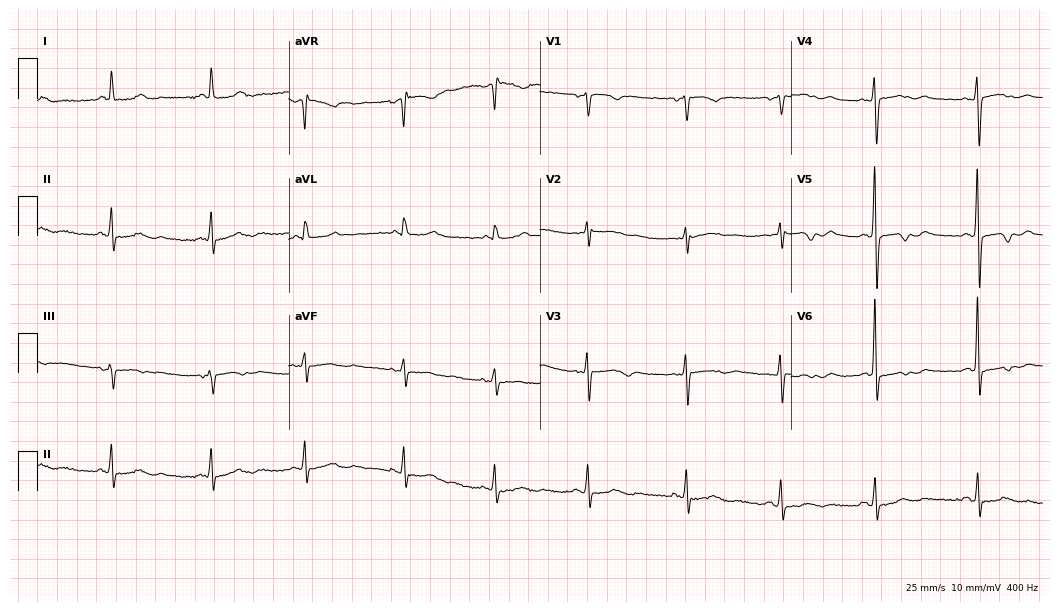
Resting 12-lead electrocardiogram (10.2-second recording at 400 Hz). Patient: a 53-year-old female. None of these six findings is recorded: first-degree AV block, right bundle branch block, left bundle branch block, sinus bradycardia, atrial fibrillation, sinus tachycardia. Other findings, if any, are not listed.